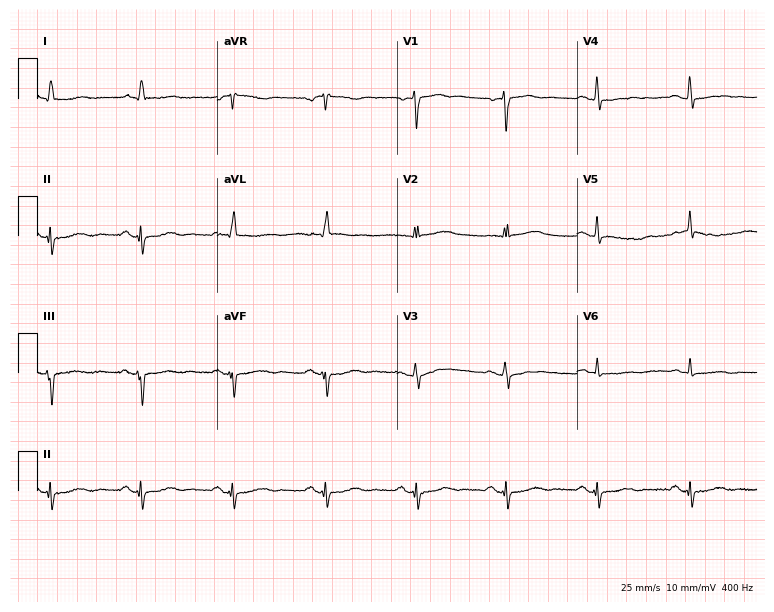
12-lead ECG from a female, 66 years old. Screened for six findings — first-degree AV block, right bundle branch block, left bundle branch block, sinus bradycardia, atrial fibrillation, sinus tachycardia — none is recorded. Only these six findings were labelled.